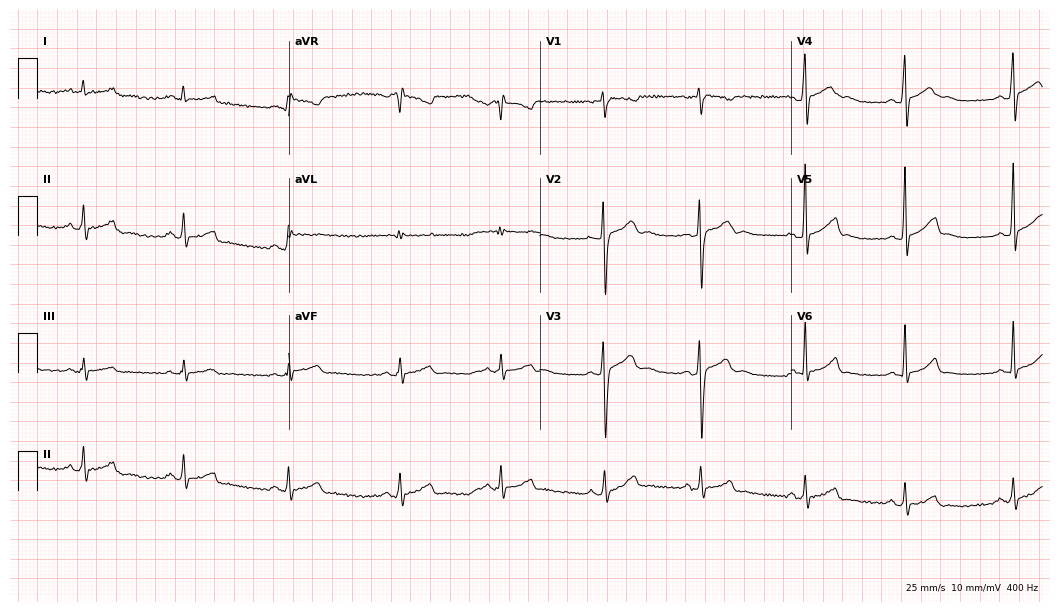
12-lead ECG from an 18-year-old man (10.2-second recording at 400 Hz). Recorded interpretation: within normal limits.